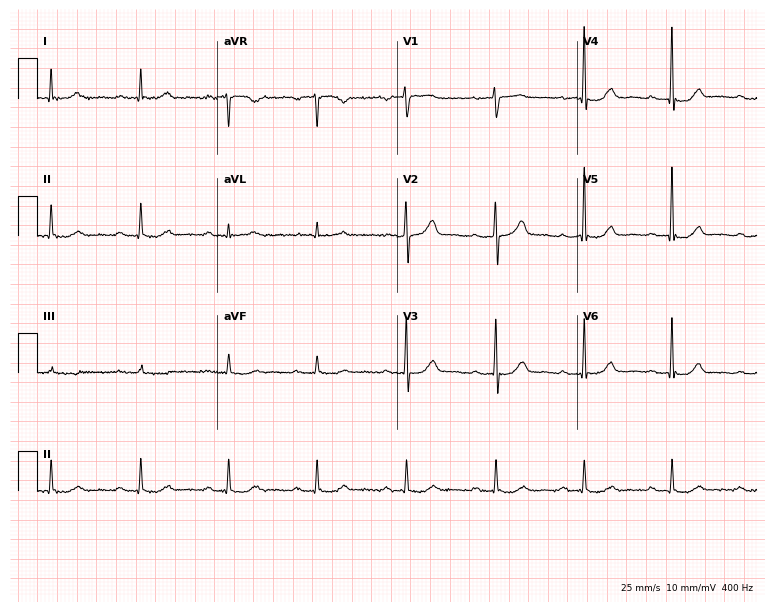
Resting 12-lead electrocardiogram (7.3-second recording at 400 Hz). Patient: a 69-year-old male. None of these six findings is recorded: first-degree AV block, right bundle branch block (RBBB), left bundle branch block (LBBB), sinus bradycardia, atrial fibrillation (AF), sinus tachycardia.